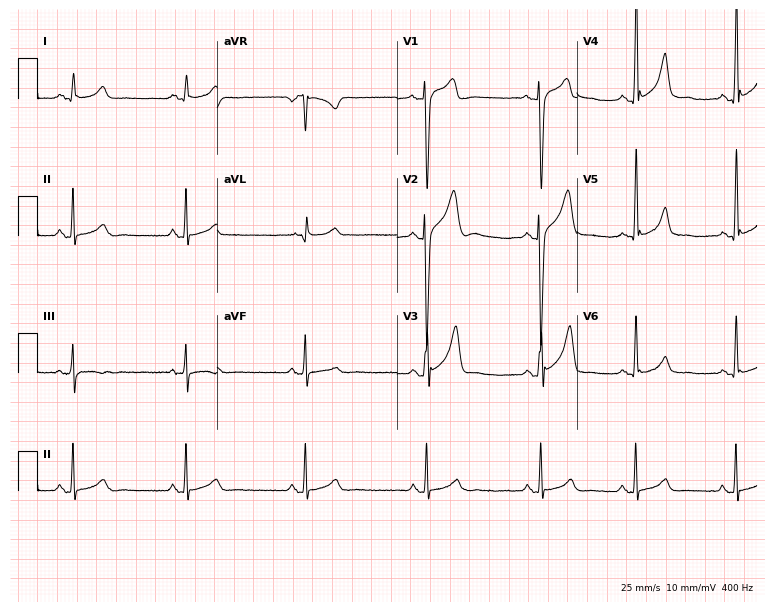
ECG (7.3-second recording at 400 Hz) — a 32-year-old man. Screened for six findings — first-degree AV block, right bundle branch block (RBBB), left bundle branch block (LBBB), sinus bradycardia, atrial fibrillation (AF), sinus tachycardia — none is recorded.